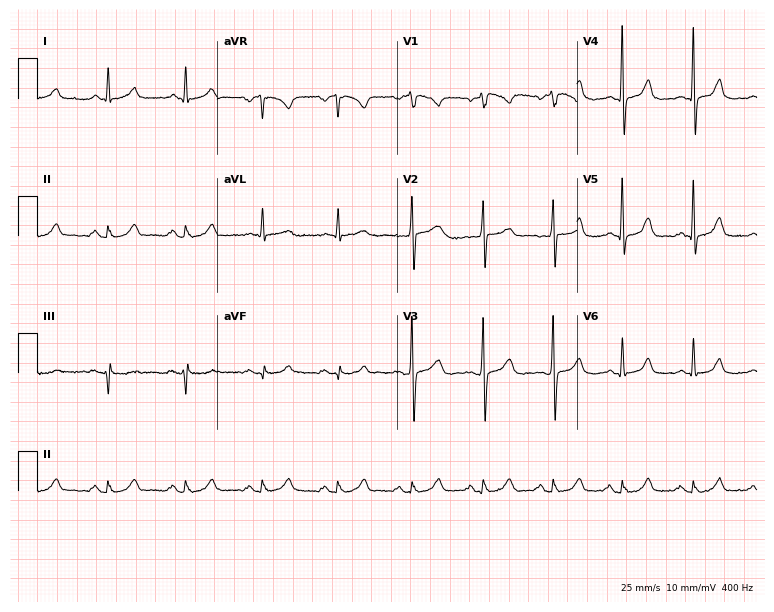
Resting 12-lead electrocardiogram. Patient: a 69-year-old female. Read as a normal ECG.